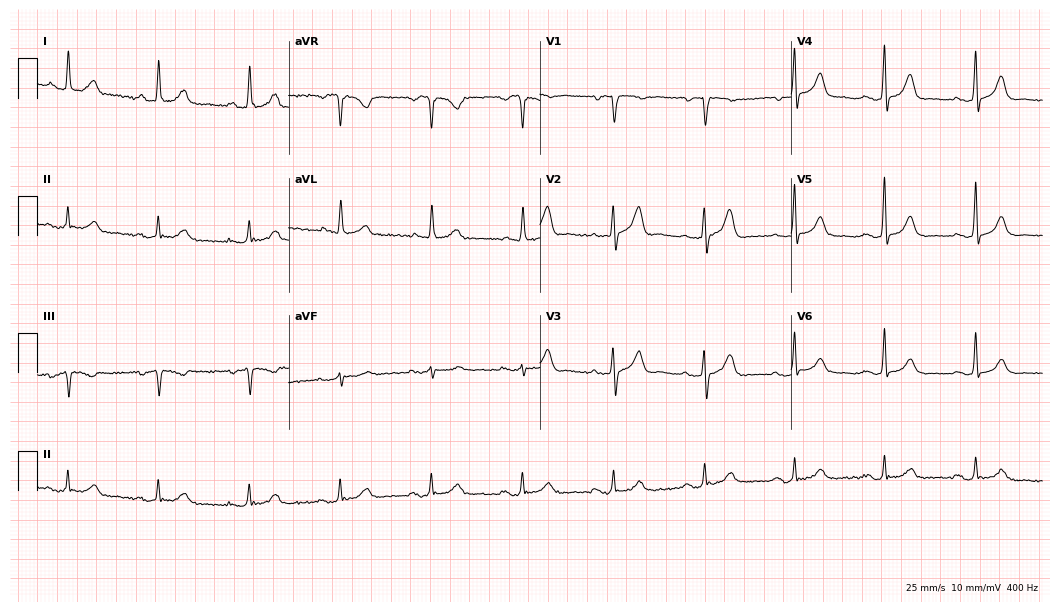
ECG — a 76-year-old male patient. Screened for six findings — first-degree AV block, right bundle branch block (RBBB), left bundle branch block (LBBB), sinus bradycardia, atrial fibrillation (AF), sinus tachycardia — none is recorded.